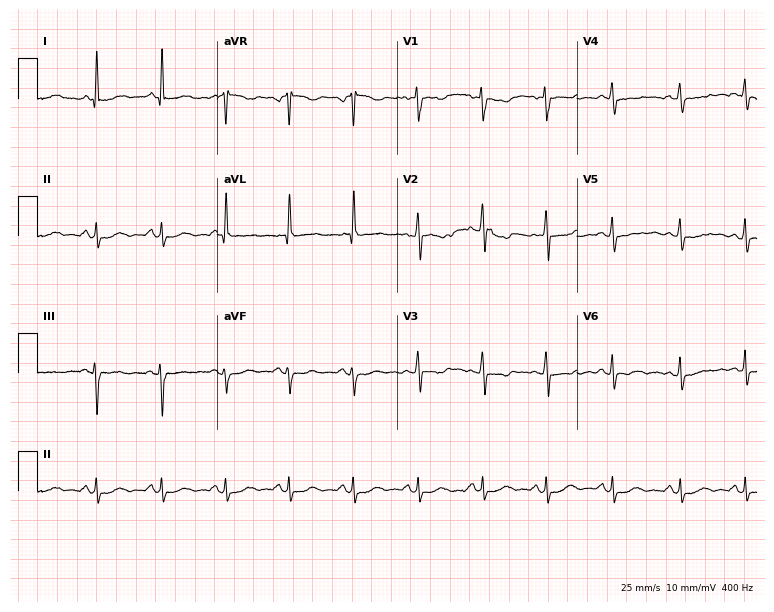
12-lead ECG from a female patient, 48 years old. No first-degree AV block, right bundle branch block (RBBB), left bundle branch block (LBBB), sinus bradycardia, atrial fibrillation (AF) or sinus tachycardia recorded for this tracing.